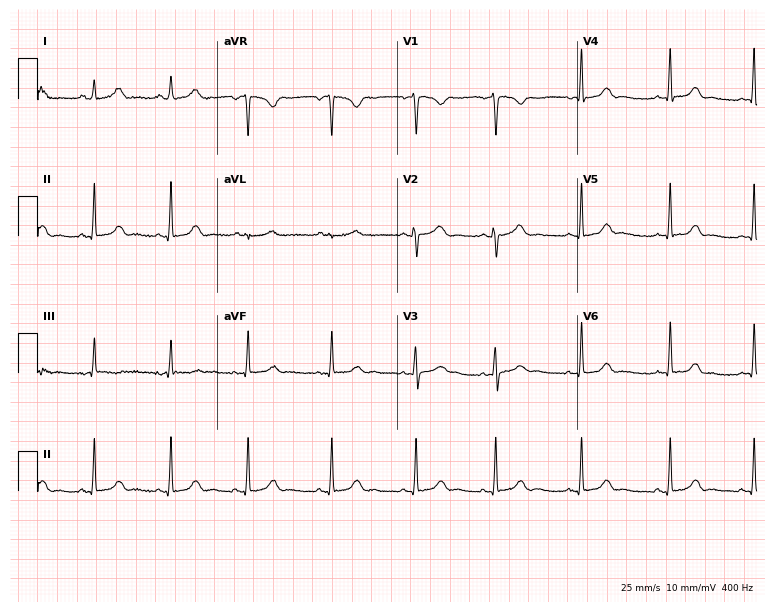
Resting 12-lead electrocardiogram. Patient: a female, 19 years old. Read as a normal ECG.